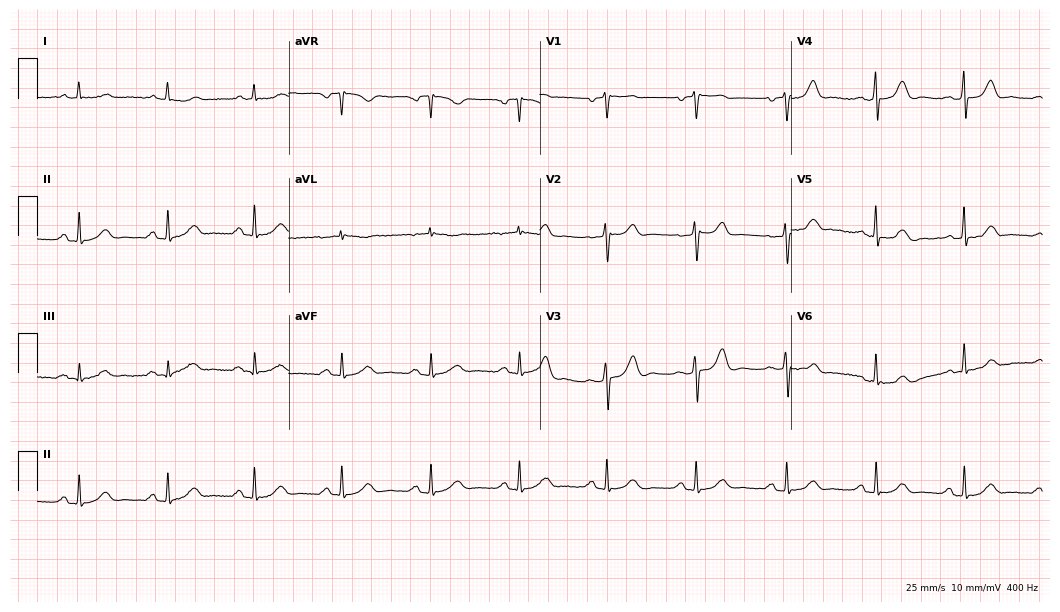
Standard 12-lead ECG recorded from a woman, 74 years old. Read as a normal ECG.